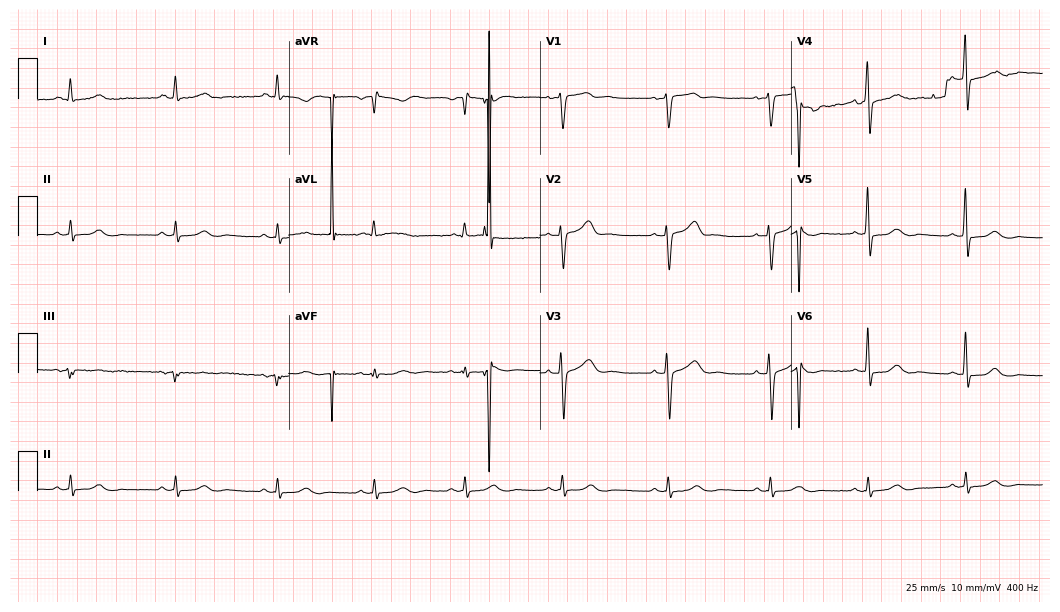
12-lead ECG (10.2-second recording at 400 Hz) from a male patient, 56 years old. Labelled as a normal ECG.